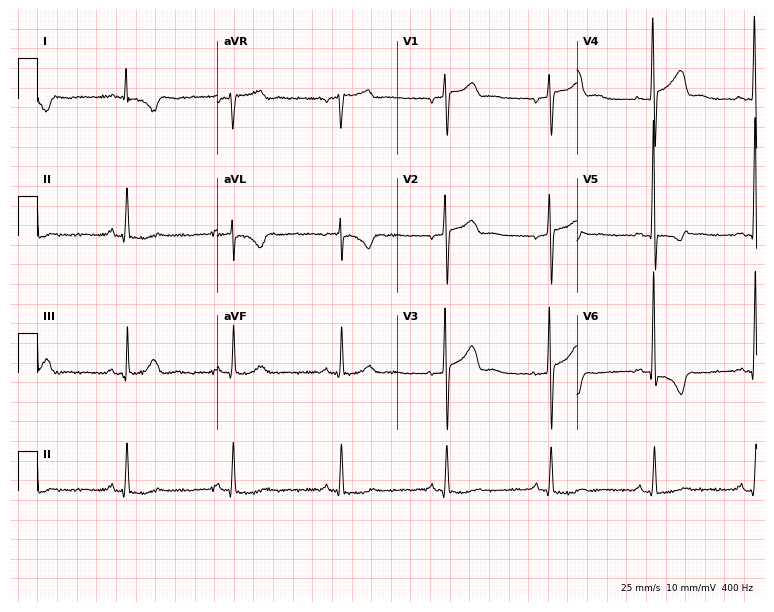
12-lead ECG from a female, 71 years old (7.3-second recording at 400 Hz). No first-degree AV block, right bundle branch block, left bundle branch block, sinus bradycardia, atrial fibrillation or sinus tachycardia recorded for this tracing. Only these six findings were labelled.